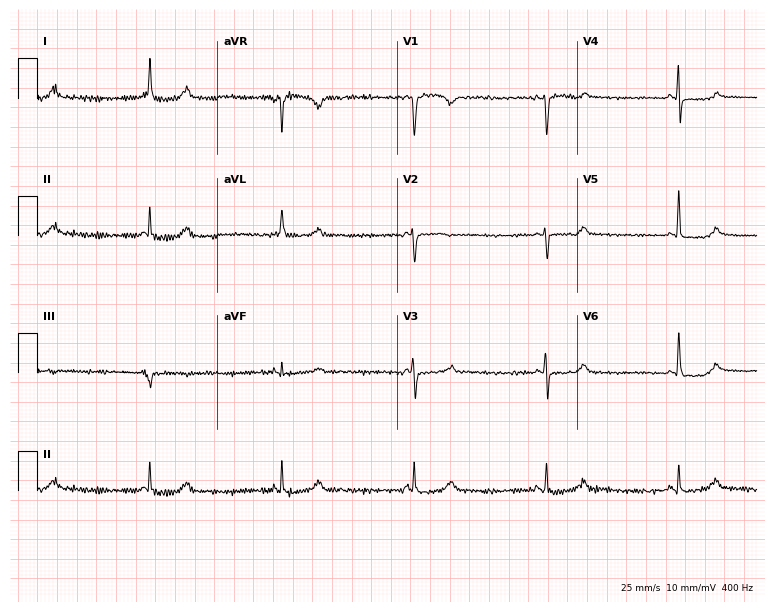
12-lead ECG from a 56-year-old woman. No first-degree AV block, right bundle branch block, left bundle branch block, sinus bradycardia, atrial fibrillation or sinus tachycardia recorded for this tracing. Only these six findings were labelled.